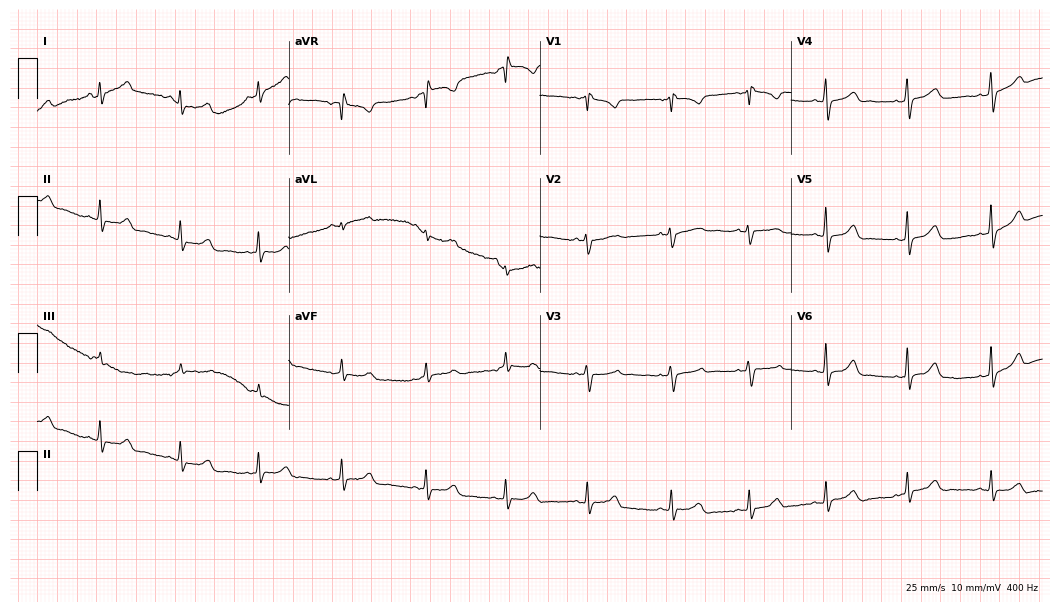
12-lead ECG from a 25-year-old female. Recorded interpretation: within normal limits.